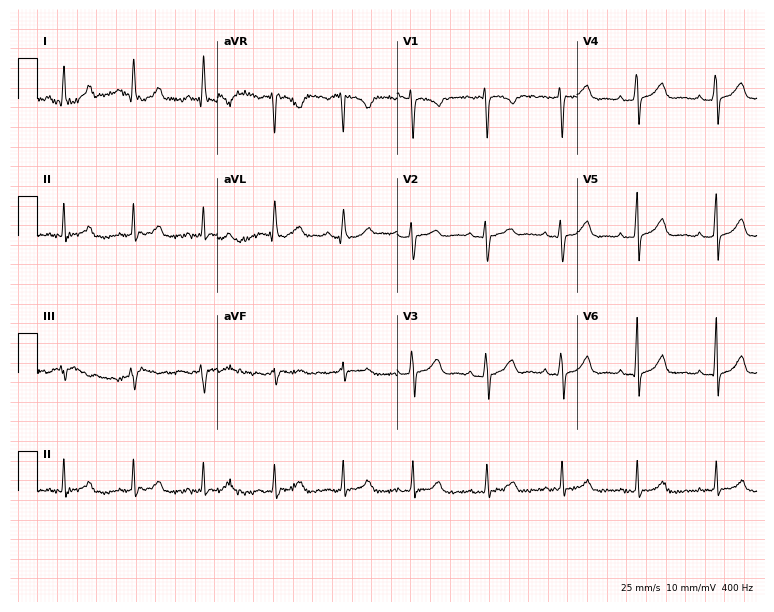
Electrocardiogram, a female patient, 29 years old. Overall reading on record: normal ECG.